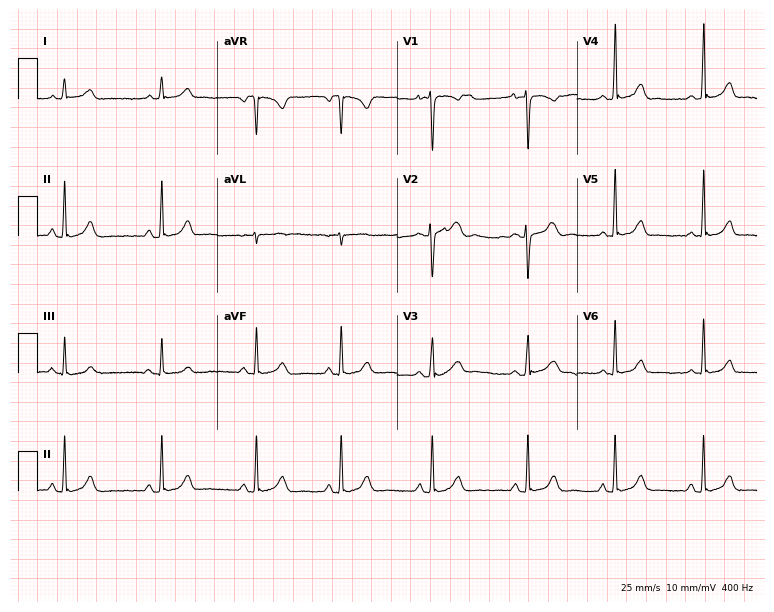
Standard 12-lead ECG recorded from a female patient, 18 years old. Read as a normal ECG.